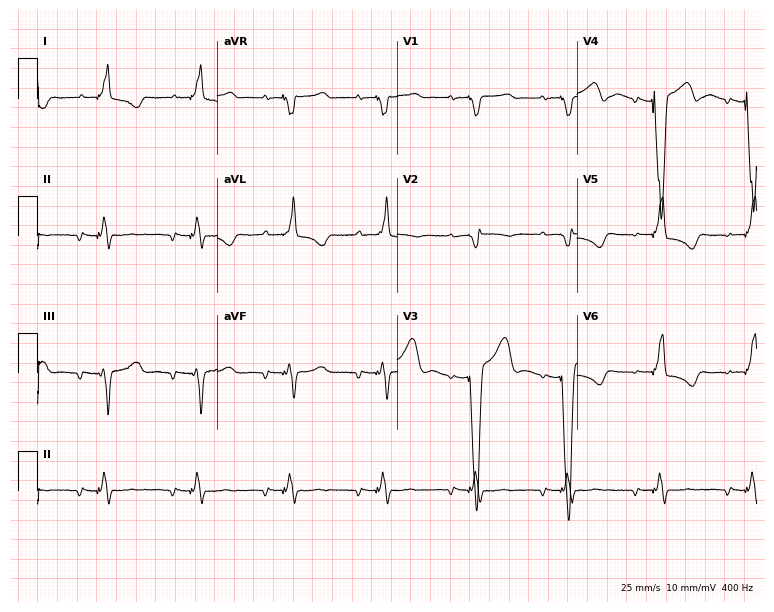
Standard 12-lead ECG recorded from an 85-year-old female patient (7.3-second recording at 400 Hz). The tracing shows first-degree AV block, left bundle branch block (LBBB).